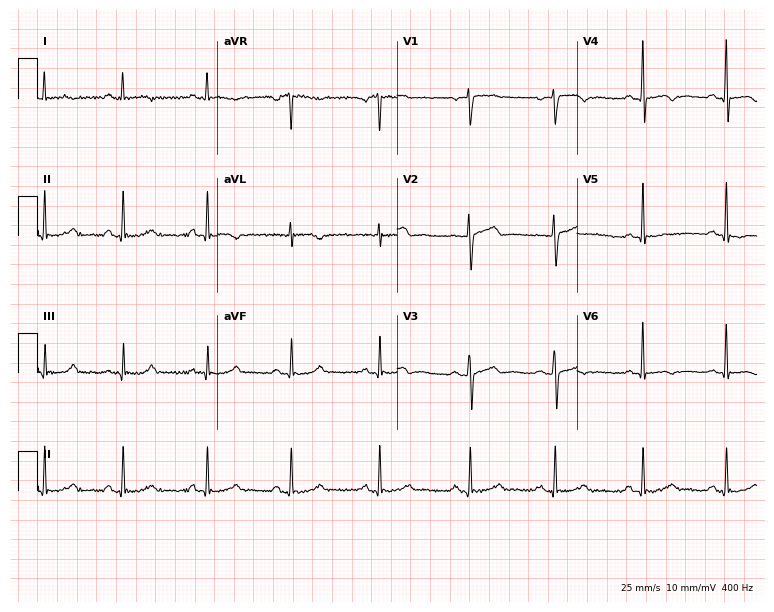
12-lead ECG from a 37-year-old woman. Screened for six findings — first-degree AV block, right bundle branch block, left bundle branch block, sinus bradycardia, atrial fibrillation, sinus tachycardia — none is recorded. Findings outside these six are not listed.